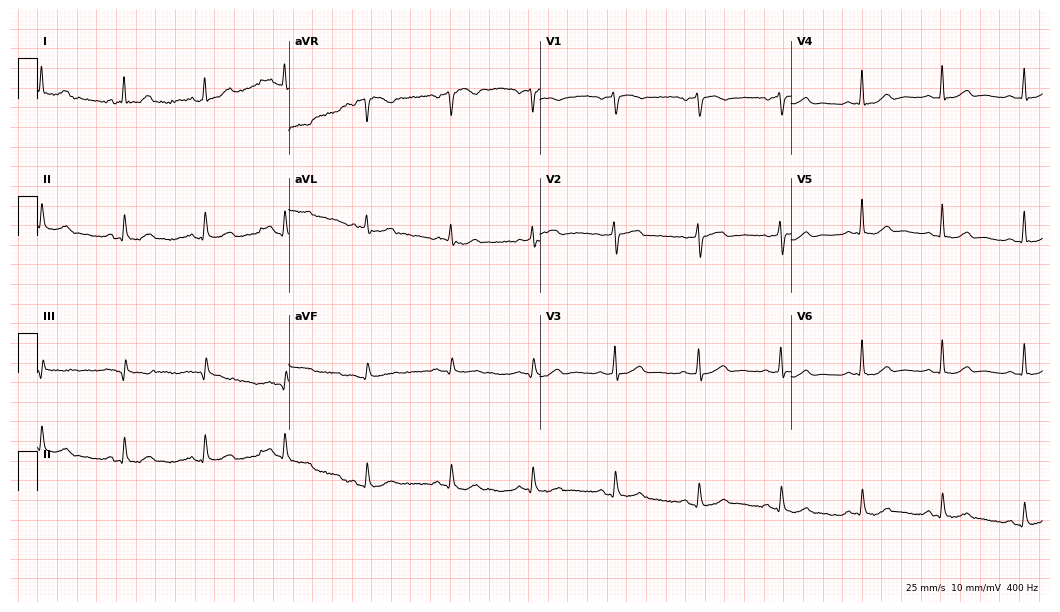
ECG (10.2-second recording at 400 Hz) — a female patient, 58 years old. Screened for six findings — first-degree AV block, right bundle branch block (RBBB), left bundle branch block (LBBB), sinus bradycardia, atrial fibrillation (AF), sinus tachycardia — none is recorded. Only these six findings were labelled.